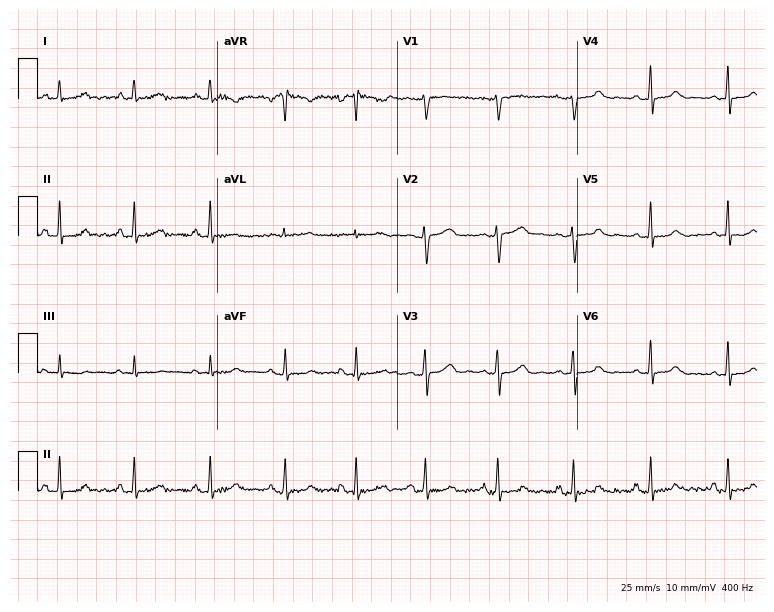
Standard 12-lead ECG recorded from a female, 42 years old (7.3-second recording at 400 Hz). None of these six findings is recorded: first-degree AV block, right bundle branch block, left bundle branch block, sinus bradycardia, atrial fibrillation, sinus tachycardia. Other findings, if any, are not listed.